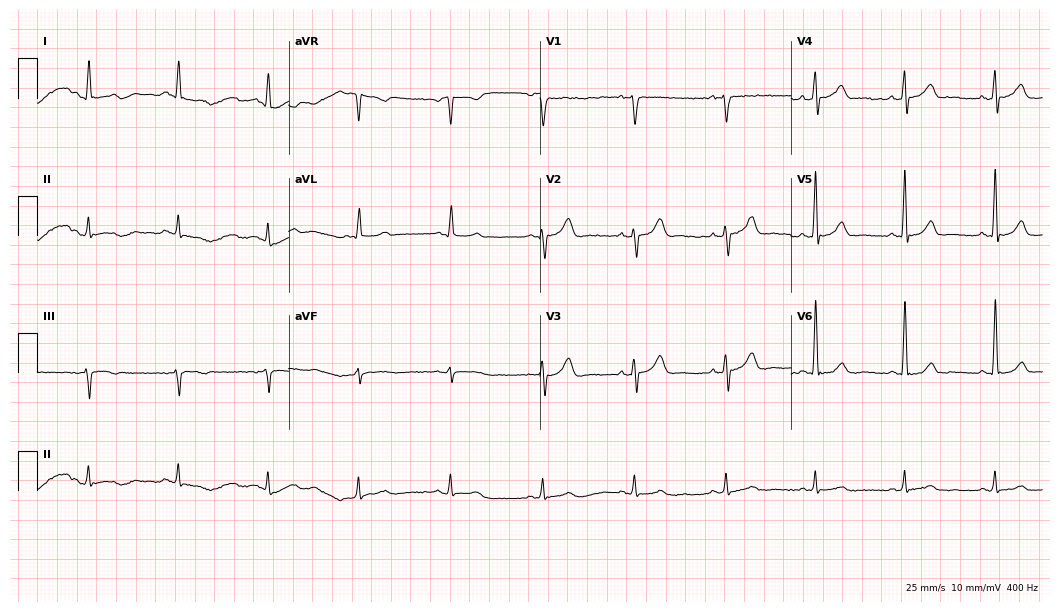
Resting 12-lead electrocardiogram (10.2-second recording at 400 Hz). Patient: a male, 65 years old. None of these six findings is recorded: first-degree AV block, right bundle branch block (RBBB), left bundle branch block (LBBB), sinus bradycardia, atrial fibrillation (AF), sinus tachycardia.